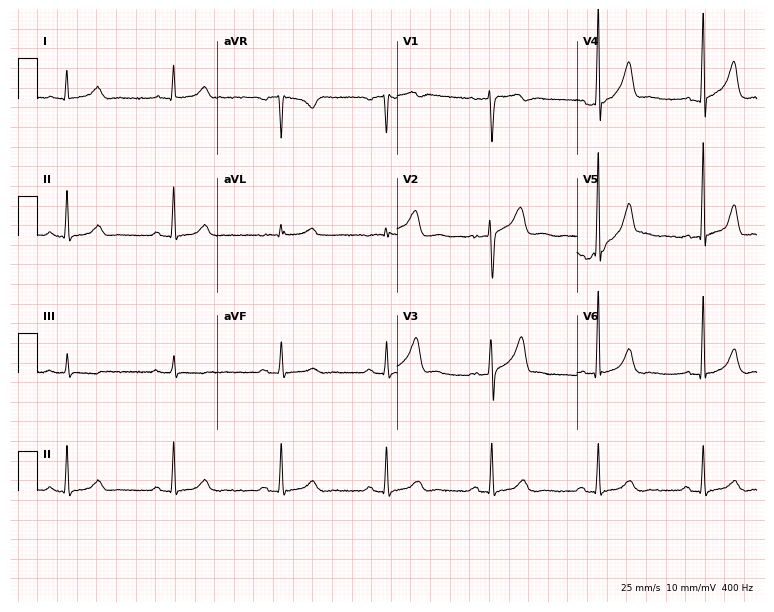
Standard 12-lead ECG recorded from a male, 52 years old. None of these six findings is recorded: first-degree AV block, right bundle branch block, left bundle branch block, sinus bradycardia, atrial fibrillation, sinus tachycardia.